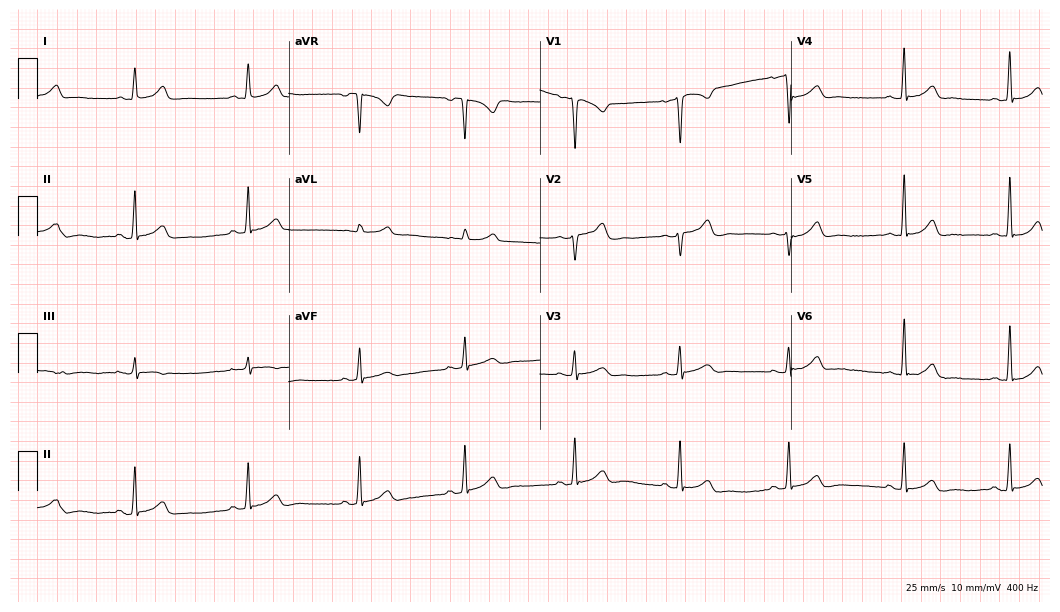
12-lead ECG from a 29-year-old female patient. No first-degree AV block, right bundle branch block (RBBB), left bundle branch block (LBBB), sinus bradycardia, atrial fibrillation (AF) or sinus tachycardia recorded for this tracing. Only these six findings were labelled.